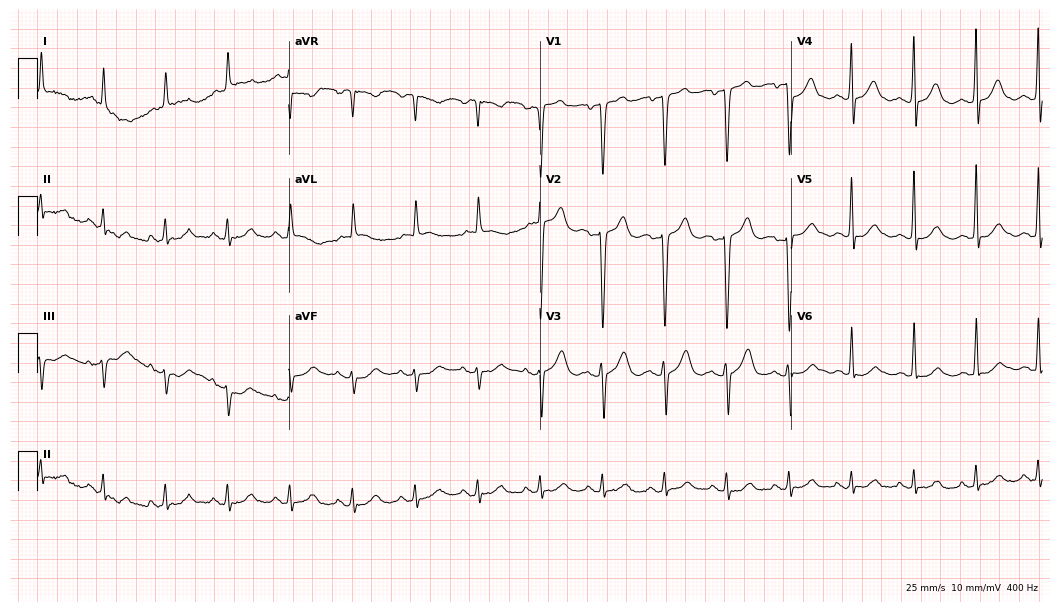
12-lead ECG from a man, 78 years old (10.2-second recording at 400 Hz). No first-degree AV block, right bundle branch block, left bundle branch block, sinus bradycardia, atrial fibrillation or sinus tachycardia recorded for this tracing. Findings outside these six are not listed.